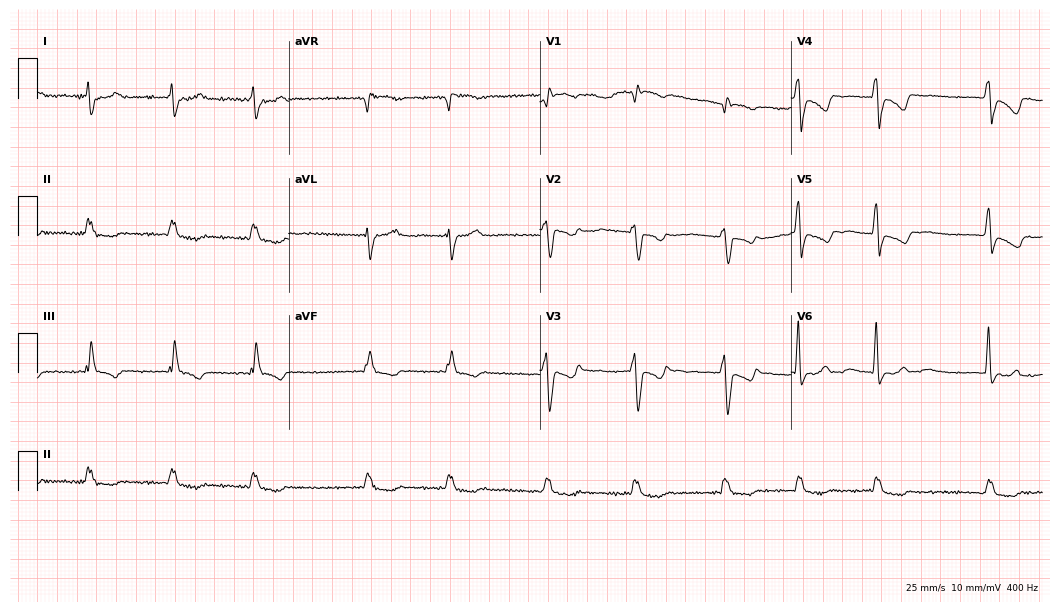
Resting 12-lead electrocardiogram. Patient: a 77-year-old female. None of these six findings is recorded: first-degree AV block, right bundle branch block, left bundle branch block, sinus bradycardia, atrial fibrillation, sinus tachycardia. Other findings, if any, are not listed.